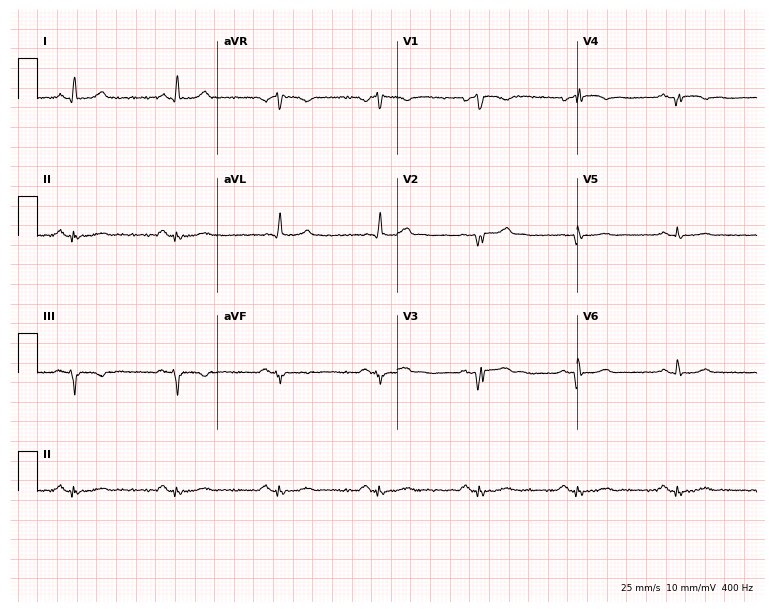
12-lead ECG from a 59-year-old man. No first-degree AV block, right bundle branch block, left bundle branch block, sinus bradycardia, atrial fibrillation or sinus tachycardia recorded for this tracing. Only these six findings were labelled.